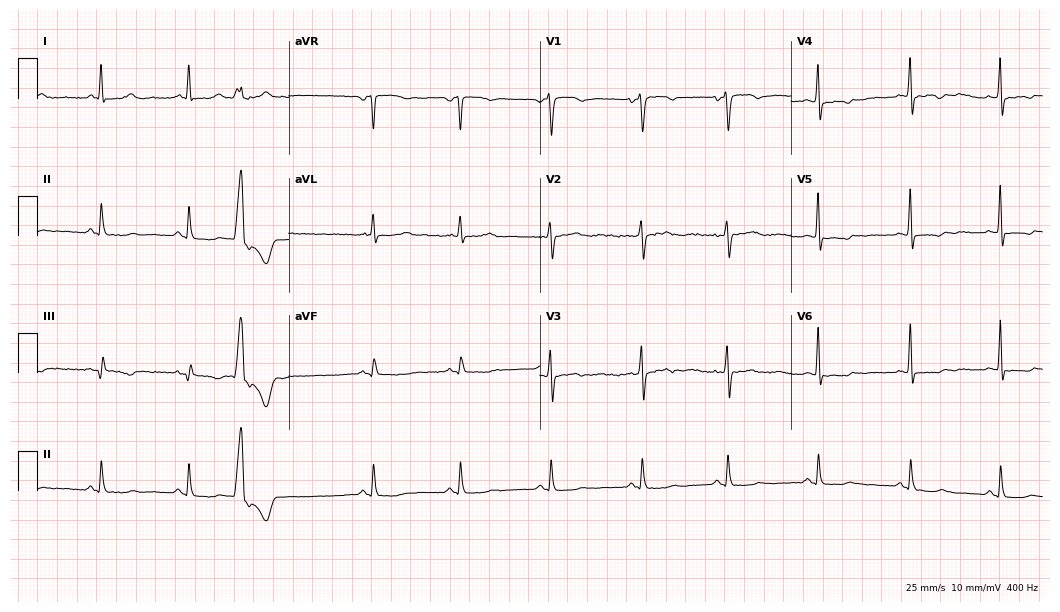
12-lead ECG (10.2-second recording at 400 Hz) from a 53-year-old female. Labelled as a normal ECG.